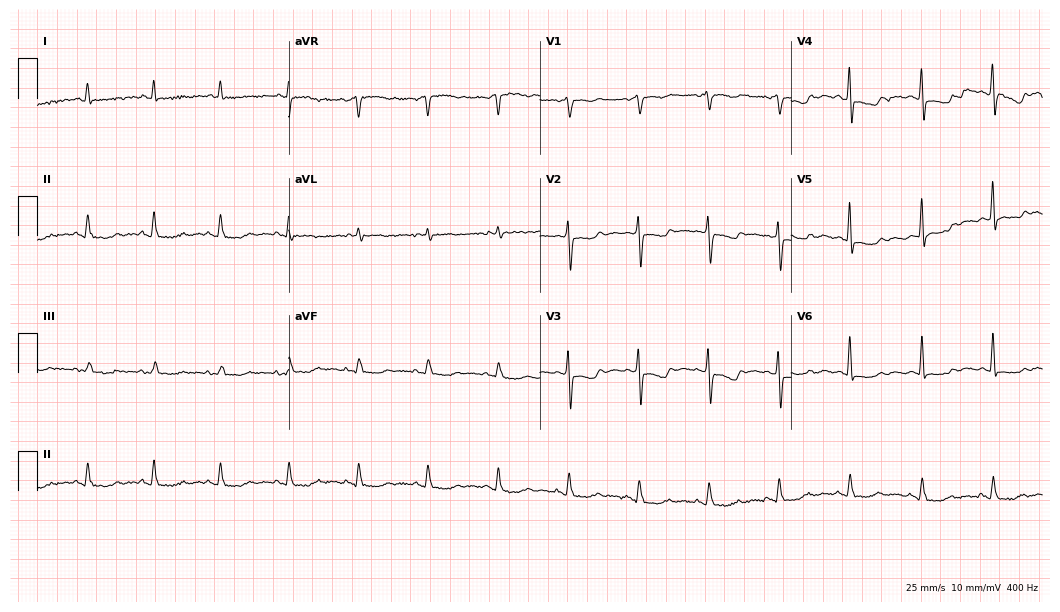
Electrocardiogram, a female, 76 years old. Of the six screened findings (first-degree AV block, right bundle branch block, left bundle branch block, sinus bradycardia, atrial fibrillation, sinus tachycardia), none is recorded.